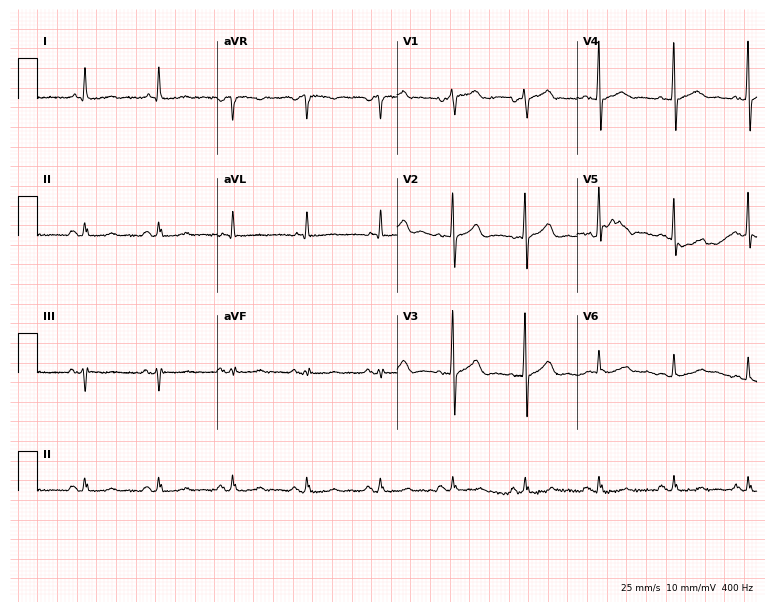
Electrocardiogram (7.3-second recording at 400 Hz), a male patient, 51 years old. Of the six screened findings (first-degree AV block, right bundle branch block, left bundle branch block, sinus bradycardia, atrial fibrillation, sinus tachycardia), none is recorded.